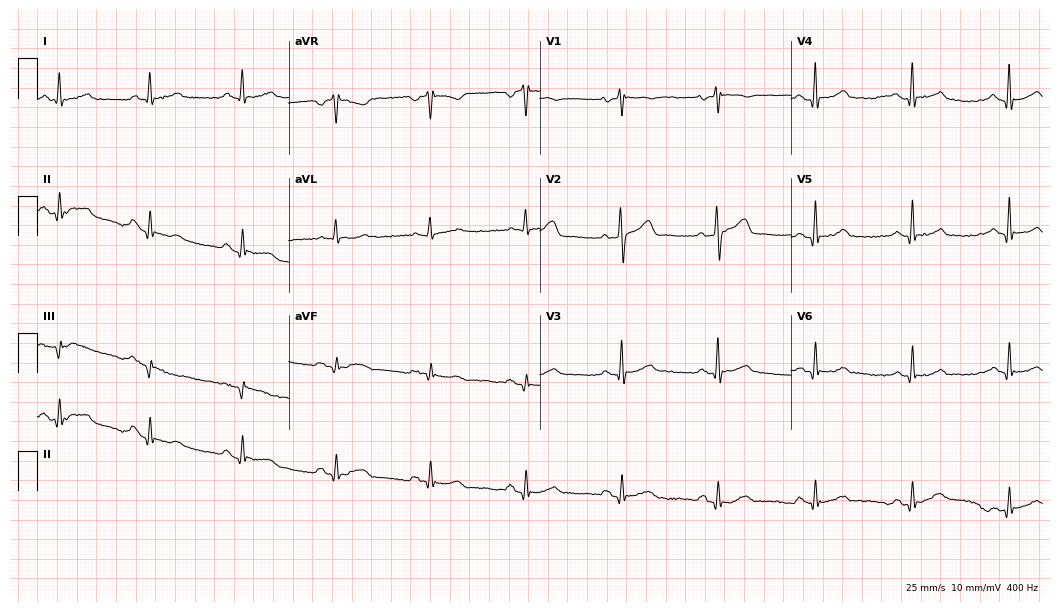
ECG (10.2-second recording at 400 Hz) — a man, 47 years old. Labelled as a normal ECG.